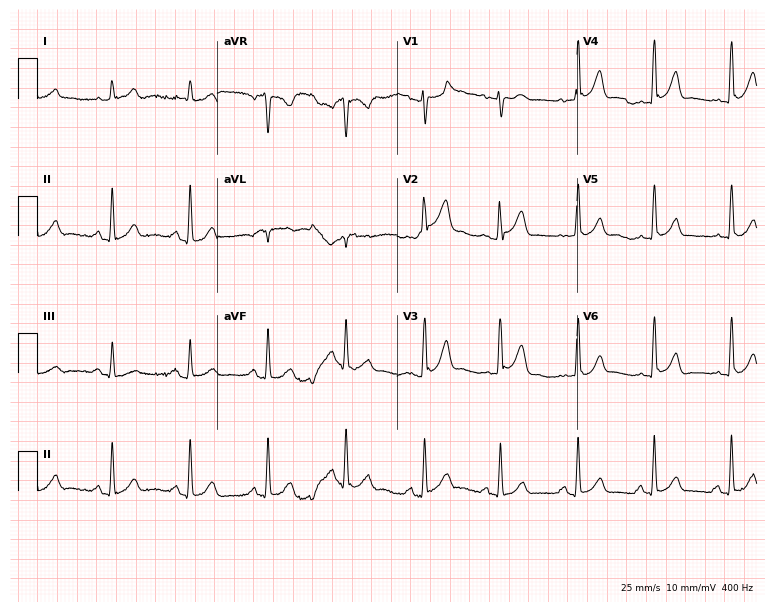
Standard 12-lead ECG recorded from a 53-year-old man (7.3-second recording at 400 Hz). None of these six findings is recorded: first-degree AV block, right bundle branch block, left bundle branch block, sinus bradycardia, atrial fibrillation, sinus tachycardia. Findings outside these six are not listed.